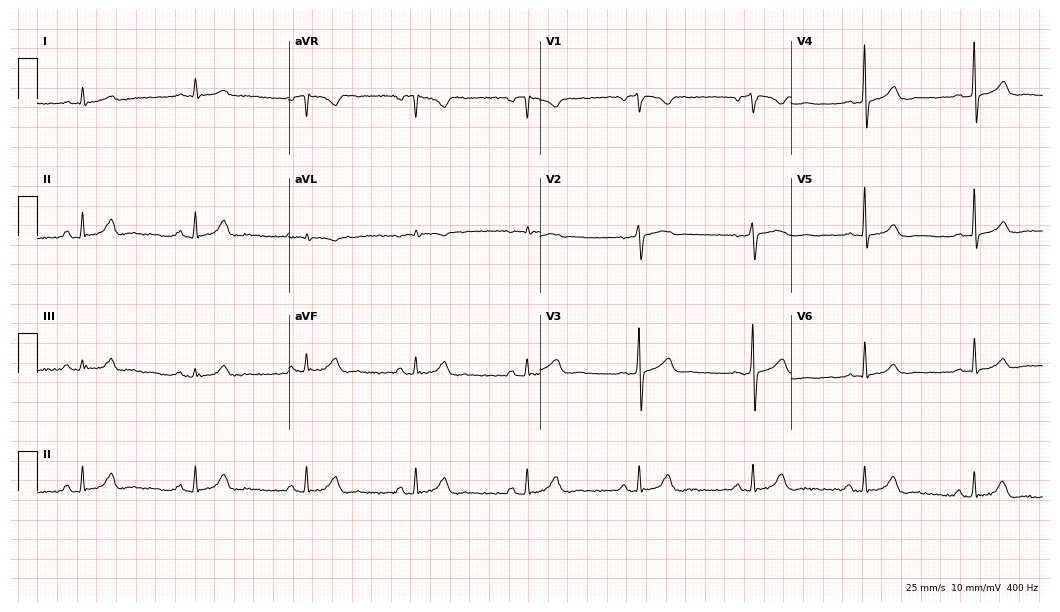
12-lead ECG from a man, 55 years old (10.2-second recording at 400 Hz). Shows sinus bradycardia (a sinus rate of 50 beats per minute or less).